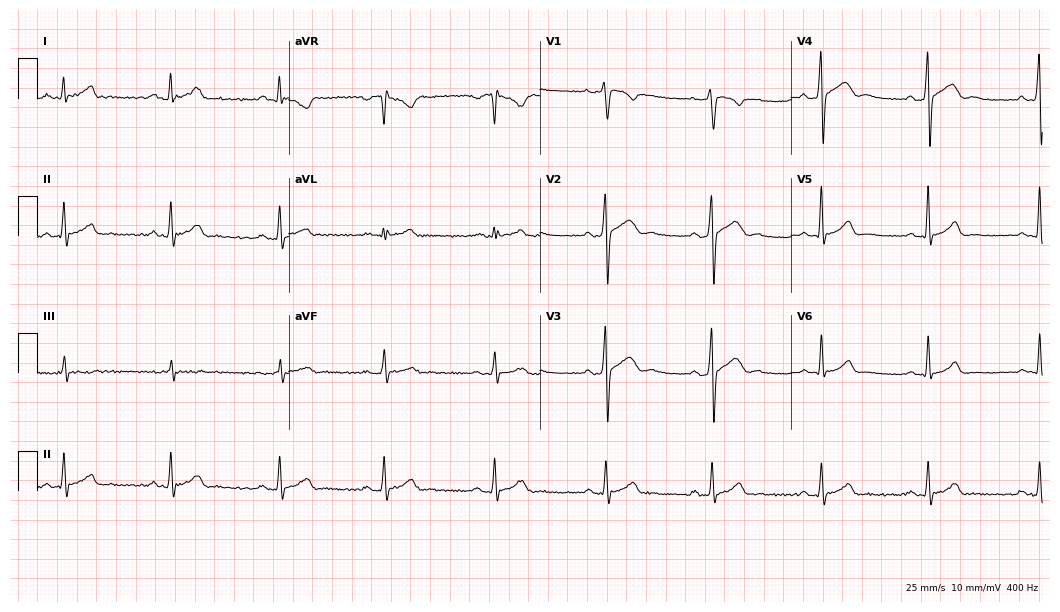
12-lead ECG from a man, 31 years old (10.2-second recording at 400 Hz). Recorded interpretation: within normal limits.